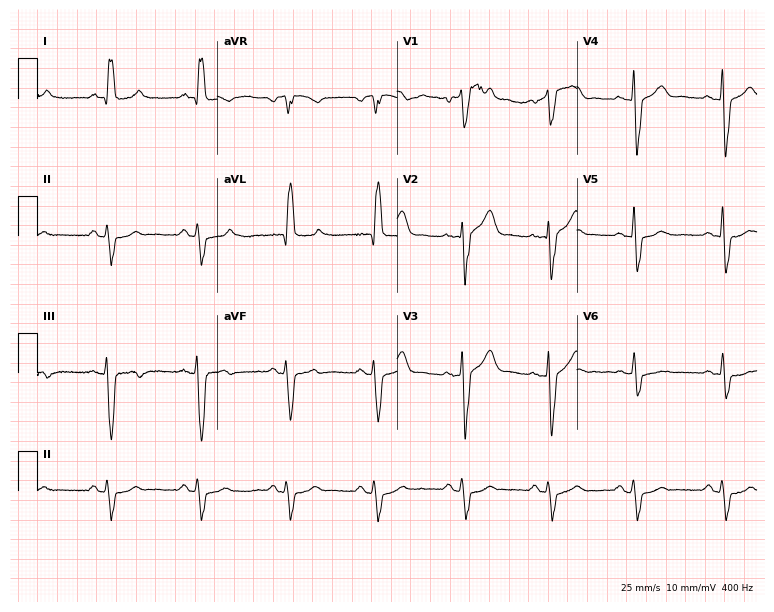
ECG (7.3-second recording at 400 Hz) — a 69-year-old male patient. Screened for six findings — first-degree AV block, right bundle branch block, left bundle branch block, sinus bradycardia, atrial fibrillation, sinus tachycardia — none is recorded.